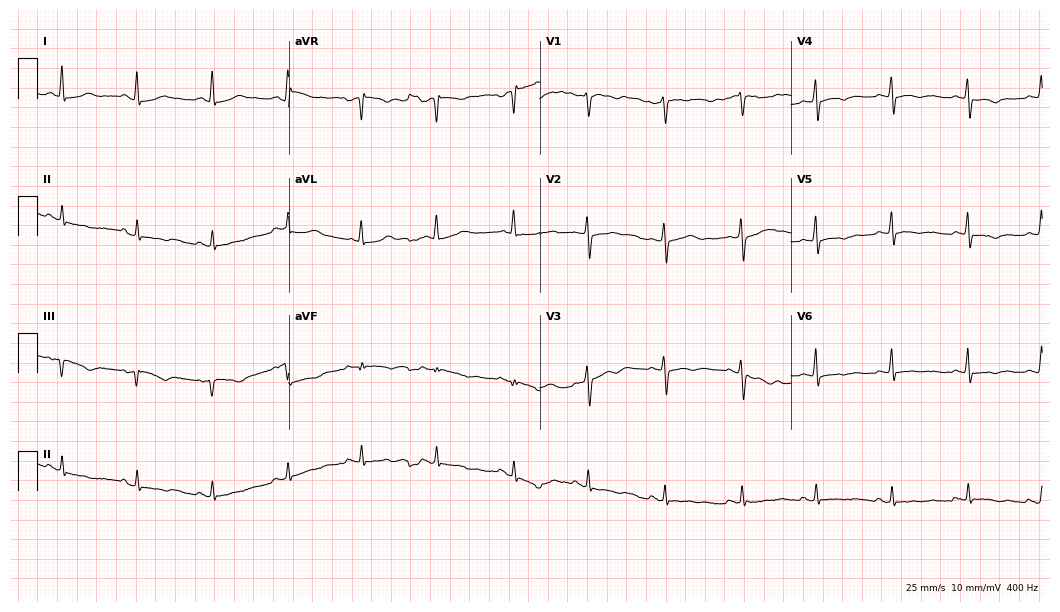
Electrocardiogram, a 45-year-old female. Of the six screened findings (first-degree AV block, right bundle branch block (RBBB), left bundle branch block (LBBB), sinus bradycardia, atrial fibrillation (AF), sinus tachycardia), none is recorded. Only these six findings were labelled.